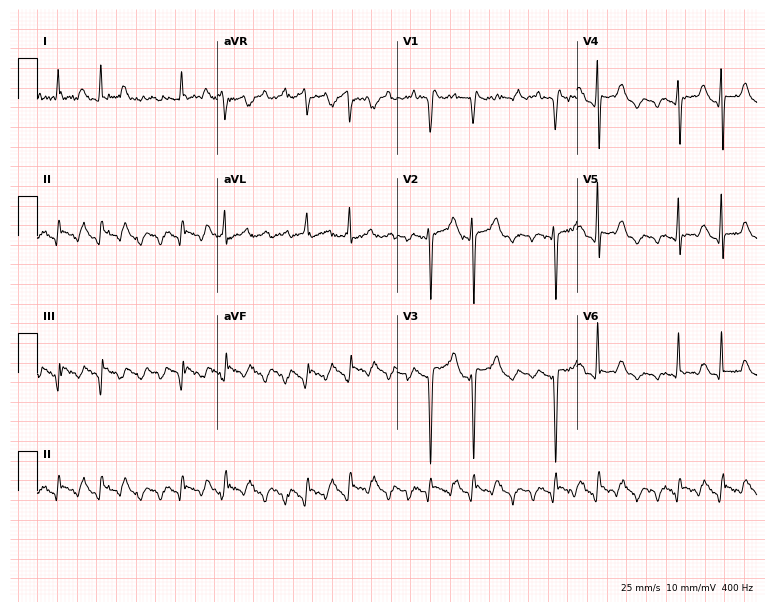
Electrocardiogram, a male, 64 years old. Of the six screened findings (first-degree AV block, right bundle branch block (RBBB), left bundle branch block (LBBB), sinus bradycardia, atrial fibrillation (AF), sinus tachycardia), none is recorded.